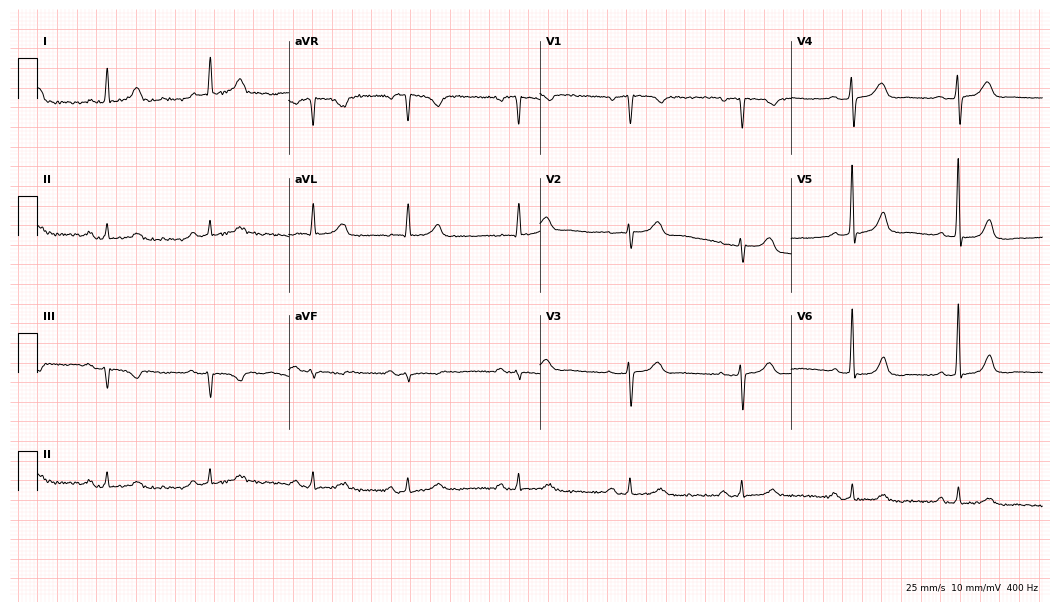
Standard 12-lead ECG recorded from a 70-year-old female (10.2-second recording at 400 Hz). Read as a normal ECG.